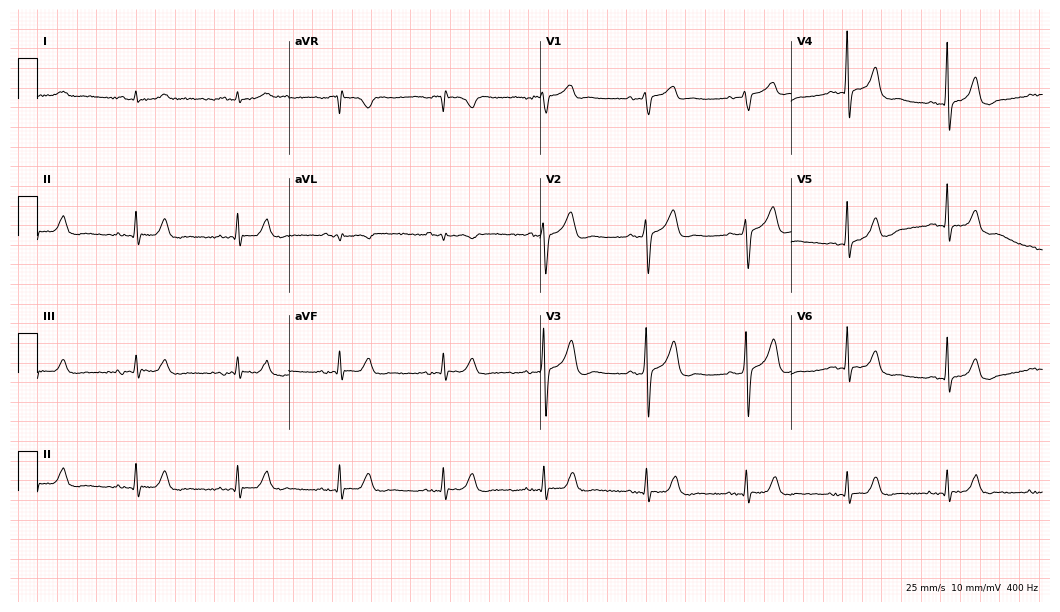
ECG — an 81-year-old male. Screened for six findings — first-degree AV block, right bundle branch block, left bundle branch block, sinus bradycardia, atrial fibrillation, sinus tachycardia — none is recorded.